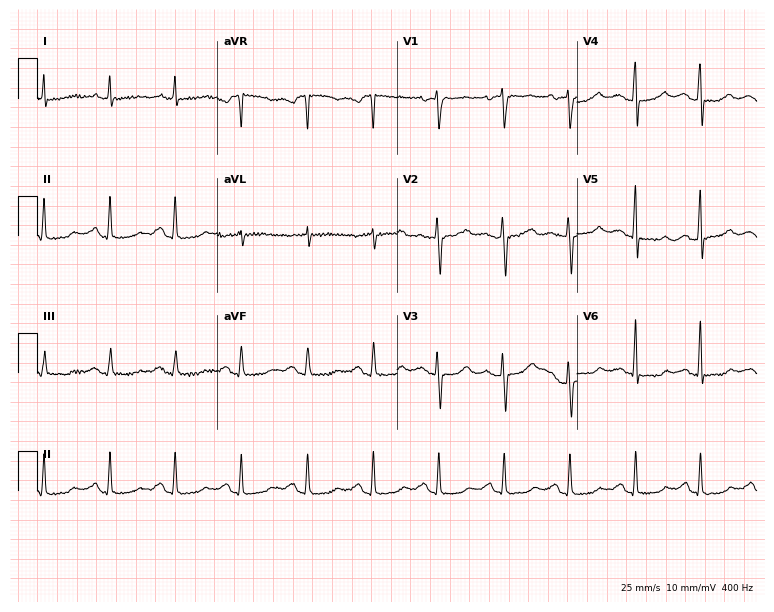
Electrocardiogram (7.3-second recording at 400 Hz), a female, 55 years old. Of the six screened findings (first-degree AV block, right bundle branch block (RBBB), left bundle branch block (LBBB), sinus bradycardia, atrial fibrillation (AF), sinus tachycardia), none is recorded.